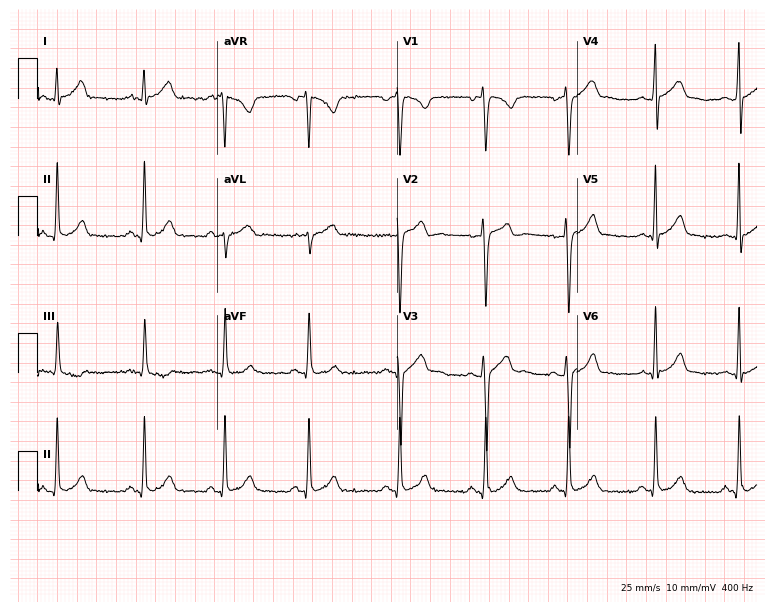
ECG (7.3-second recording at 400 Hz) — a 21-year-old male. Screened for six findings — first-degree AV block, right bundle branch block, left bundle branch block, sinus bradycardia, atrial fibrillation, sinus tachycardia — none is recorded.